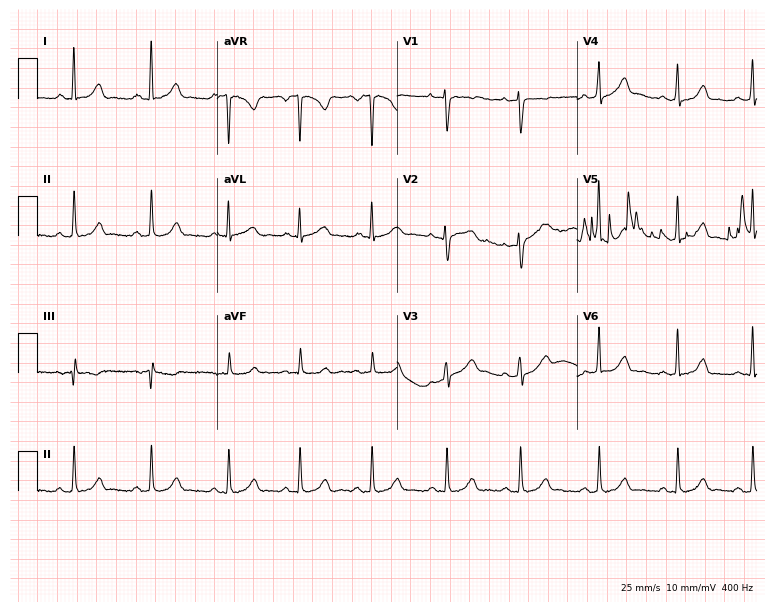
Standard 12-lead ECG recorded from a female patient, 39 years old (7.3-second recording at 400 Hz). None of these six findings is recorded: first-degree AV block, right bundle branch block (RBBB), left bundle branch block (LBBB), sinus bradycardia, atrial fibrillation (AF), sinus tachycardia.